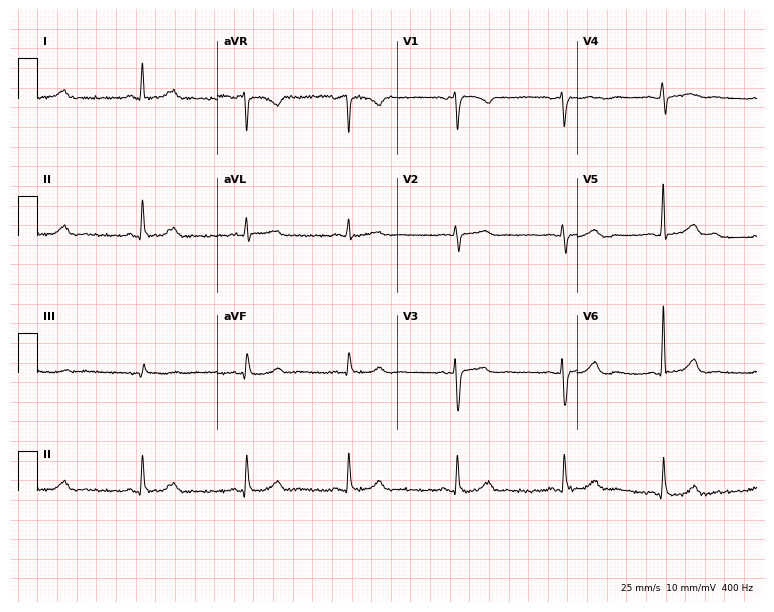
Standard 12-lead ECG recorded from a 64-year-old woman (7.3-second recording at 400 Hz). Read as a normal ECG.